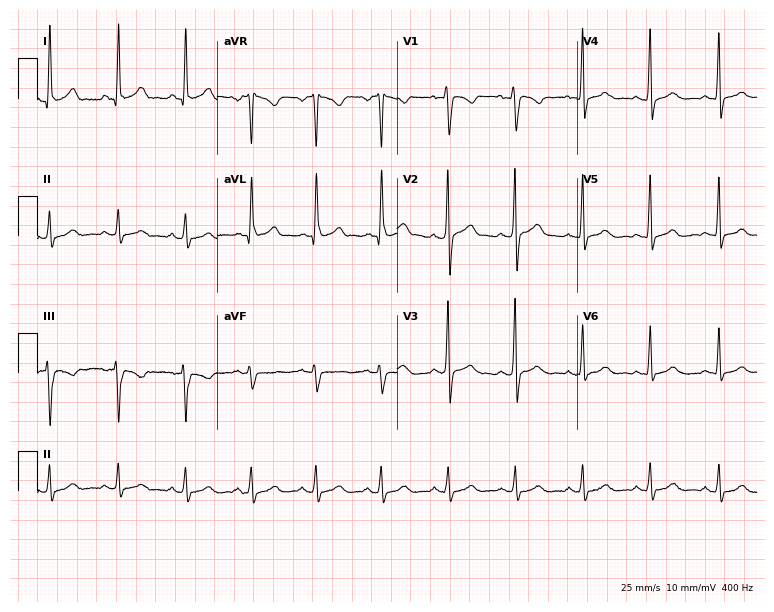
12-lead ECG from a man, 41 years old (7.3-second recording at 400 Hz). Recorded interpretation: within normal limits.